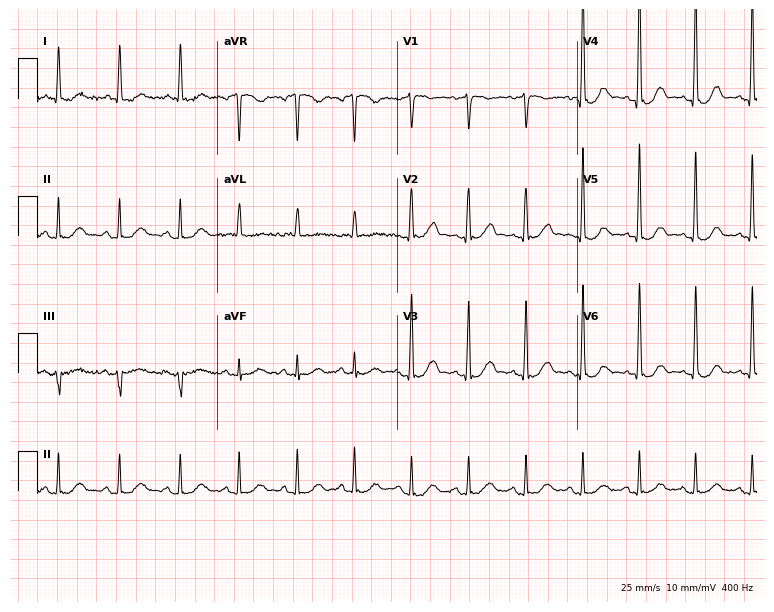
Standard 12-lead ECG recorded from a 77-year-old female patient. Read as a normal ECG.